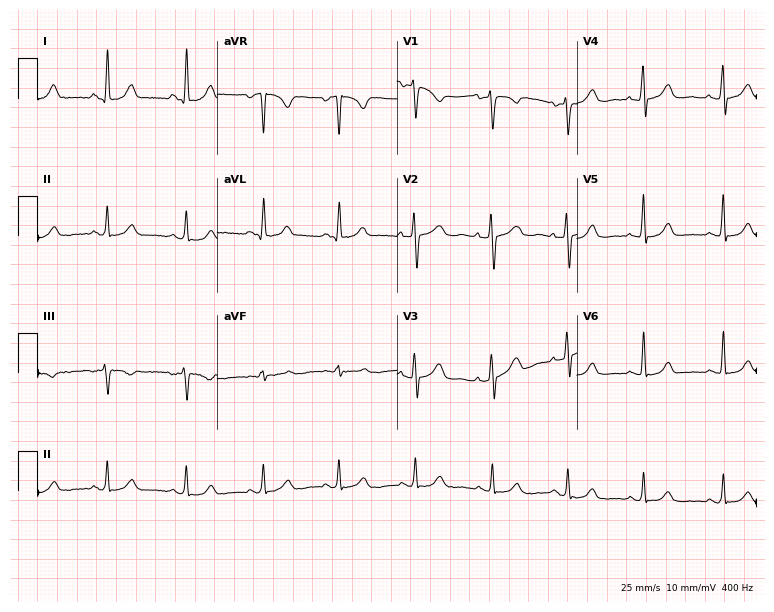
Standard 12-lead ECG recorded from a 53-year-old female (7.3-second recording at 400 Hz). None of these six findings is recorded: first-degree AV block, right bundle branch block, left bundle branch block, sinus bradycardia, atrial fibrillation, sinus tachycardia.